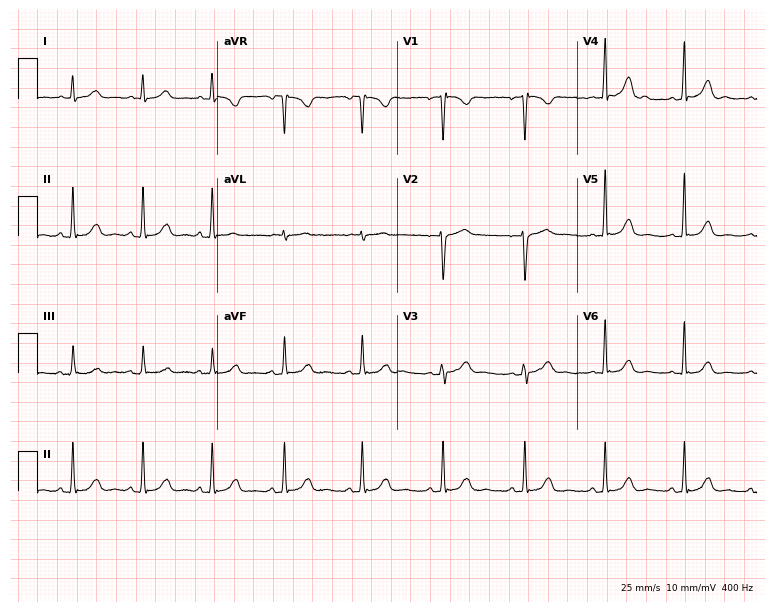
ECG (7.3-second recording at 400 Hz) — a female patient, 30 years old. Labelled as a normal ECG.